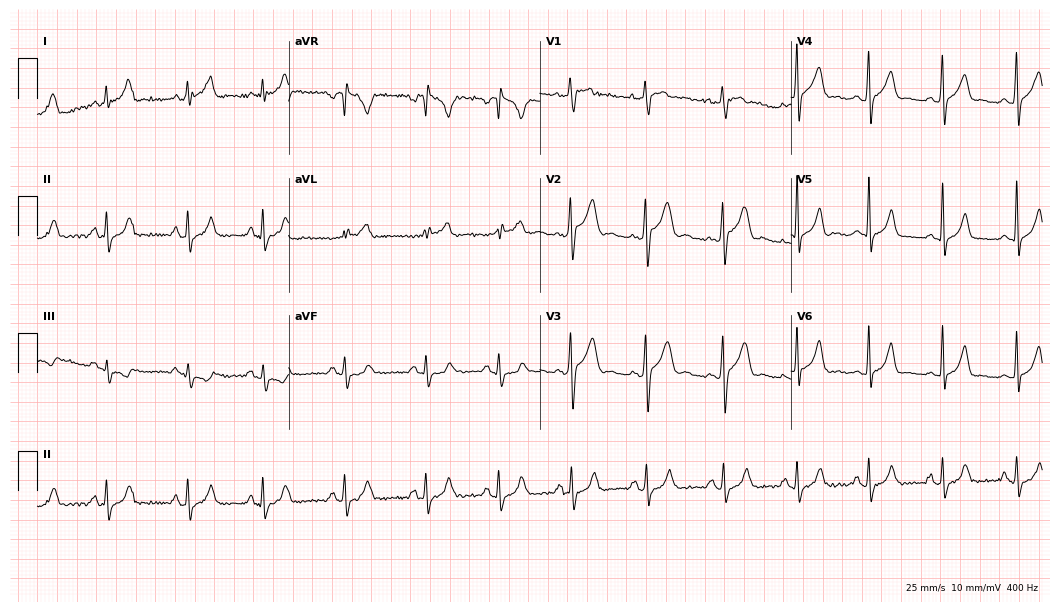
Standard 12-lead ECG recorded from a 21-year-old man. Read as a normal ECG.